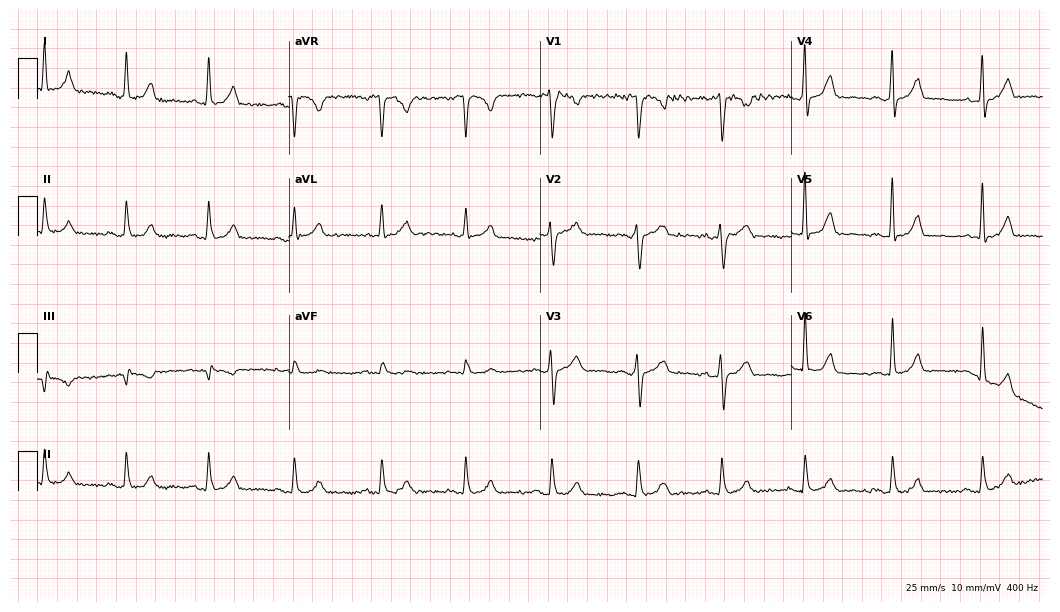
12-lead ECG from a female patient, 27 years old. Labelled as a normal ECG.